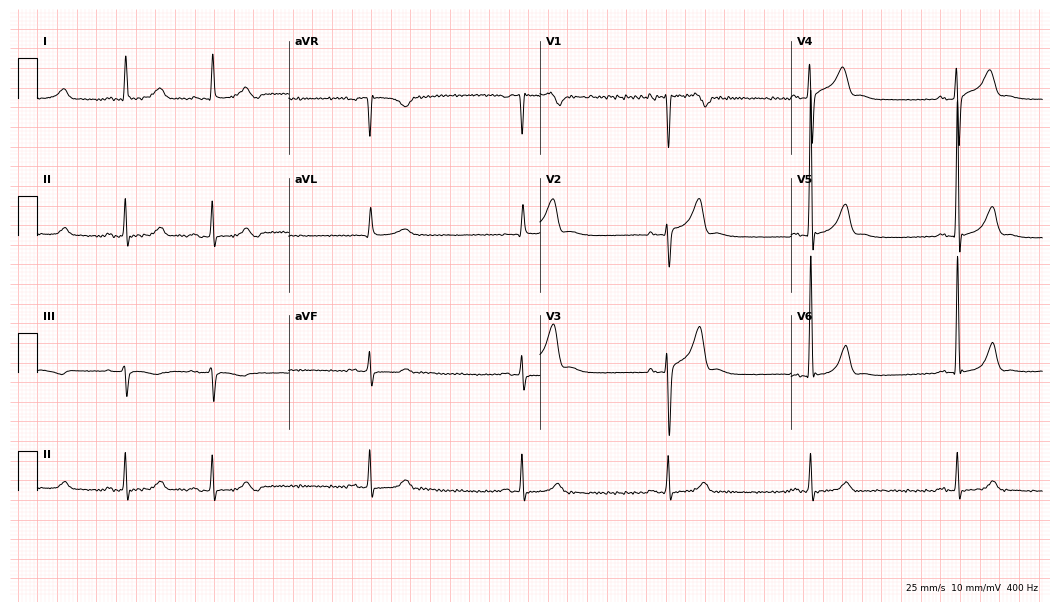
Resting 12-lead electrocardiogram. Patient: a 73-year-old man. None of these six findings is recorded: first-degree AV block, right bundle branch block, left bundle branch block, sinus bradycardia, atrial fibrillation, sinus tachycardia.